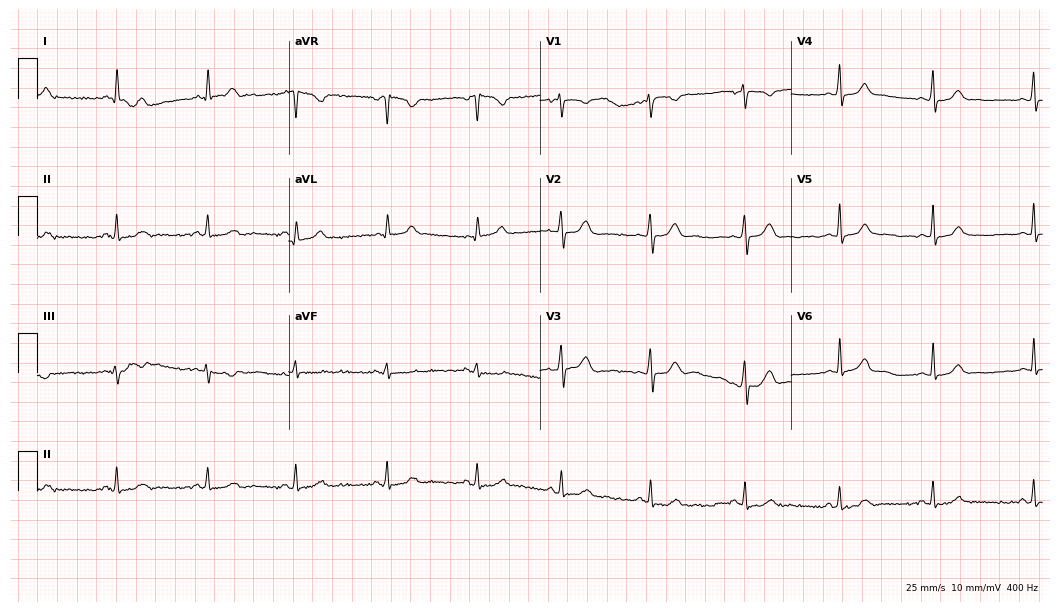
ECG (10.2-second recording at 400 Hz) — a woman, 45 years old. Labelled as a normal ECG.